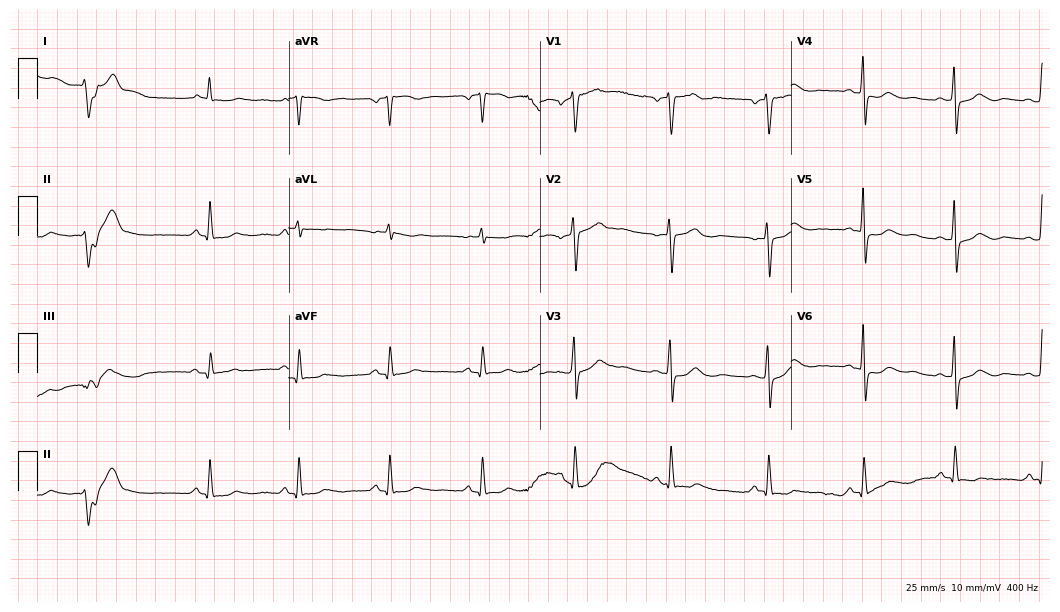
12-lead ECG from a male, 68 years old (10.2-second recording at 400 Hz). No first-degree AV block, right bundle branch block (RBBB), left bundle branch block (LBBB), sinus bradycardia, atrial fibrillation (AF) or sinus tachycardia recorded for this tracing. Other findings, if any, are not listed.